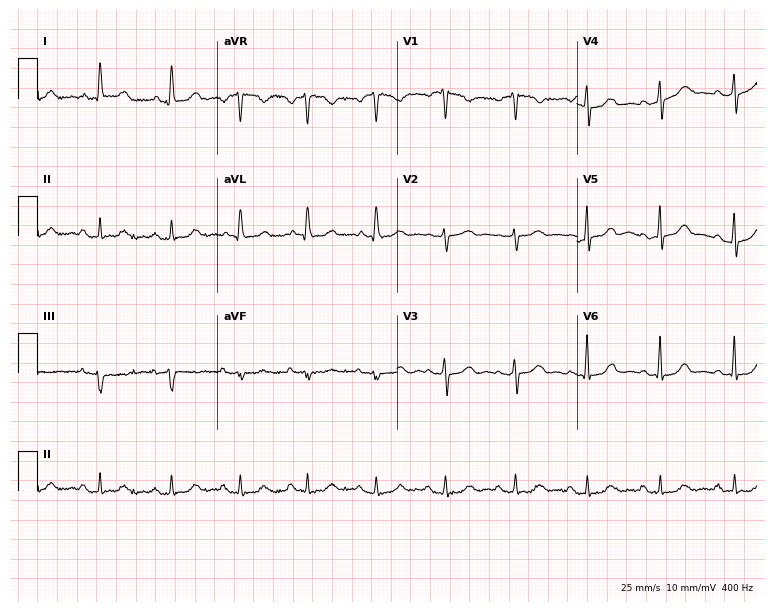
Electrocardiogram, a woman, 60 years old. Overall reading on record: normal ECG.